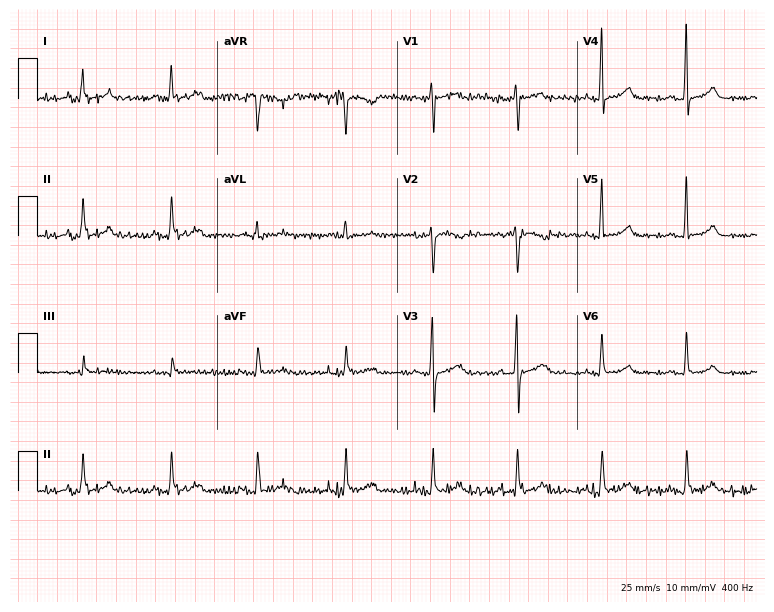
Electrocardiogram (7.3-second recording at 400 Hz), a female, 46 years old. Of the six screened findings (first-degree AV block, right bundle branch block, left bundle branch block, sinus bradycardia, atrial fibrillation, sinus tachycardia), none is recorded. Other findings, if any, are not listed.